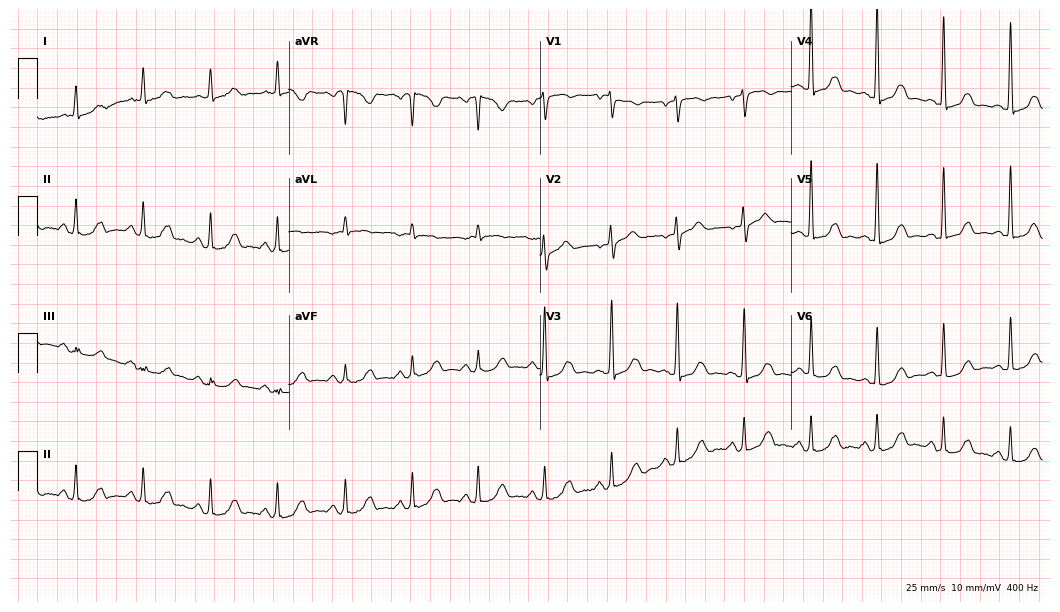
Electrocardiogram (10.2-second recording at 400 Hz), a female, 70 years old. Overall reading on record: normal ECG.